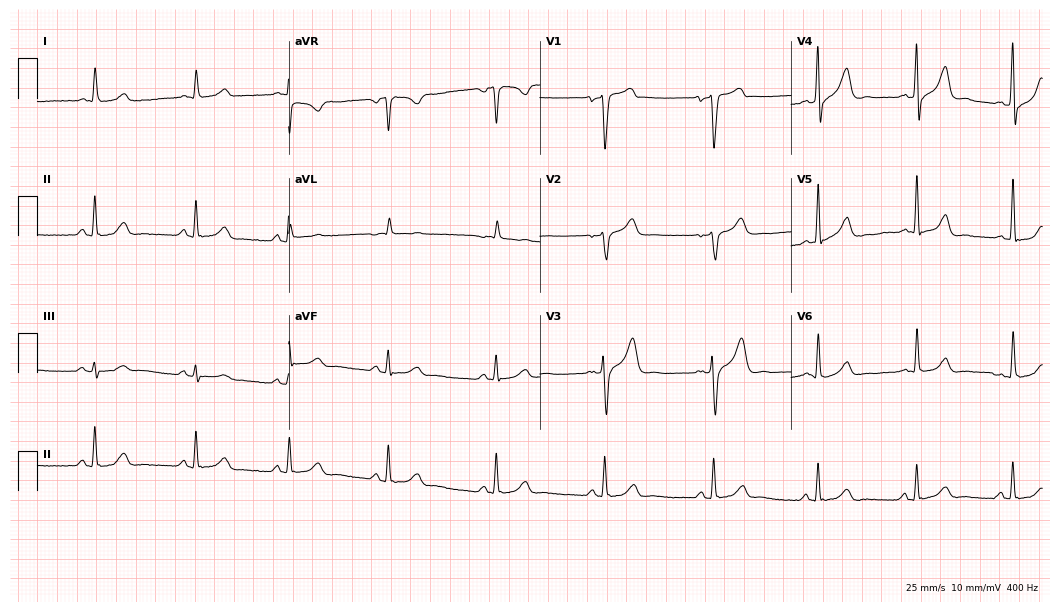
Standard 12-lead ECG recorded from a 47-year-old male patient. Read as a normal ECG.